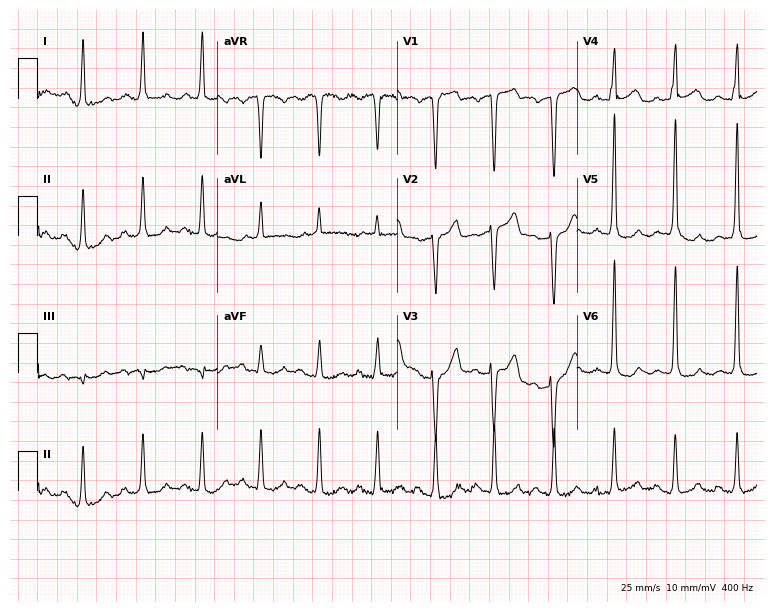
Standard 12-lead ECG recorded from a woman, 51 years old (7.3-second recording at 400 Hz). Read as a normal ECG.